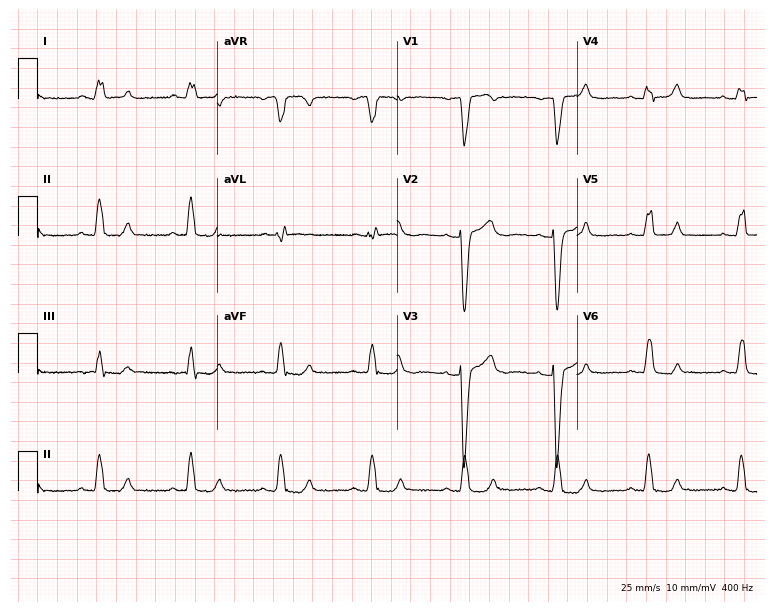
Standard 12-lead ECG recorded from a 58-year-old female. None of these six findings is recorded: first-degree AV block, right bundle branch block (RBBB), left bundle branch block (LBBB), sinus bradycardia, atrial fibrillation (AF), sinus tachycardia.